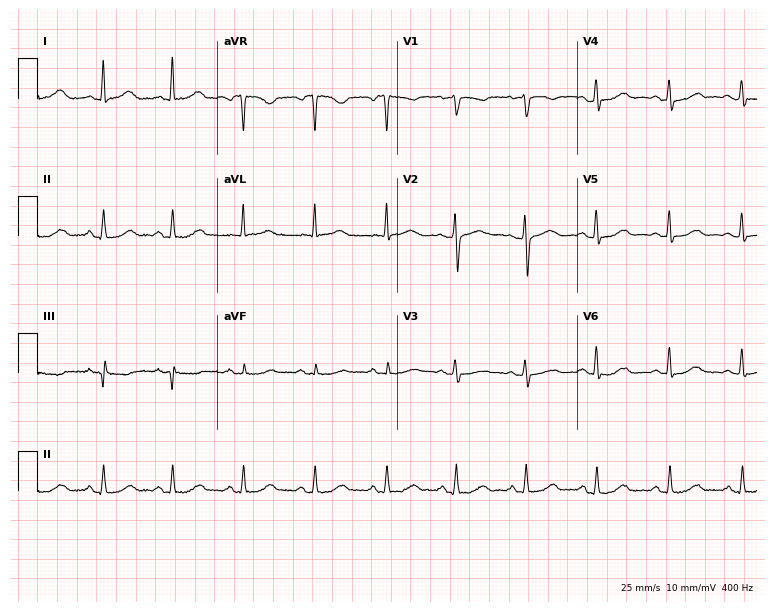
ECG — a 57-year-old female patient. Screened for six findings — first-degree AV block, right bundle branch block, left bundle branch block, sinus bradycardia, atrial fibrillation, sinus tachycardia — none is recorded. Only these six findings were labelled.